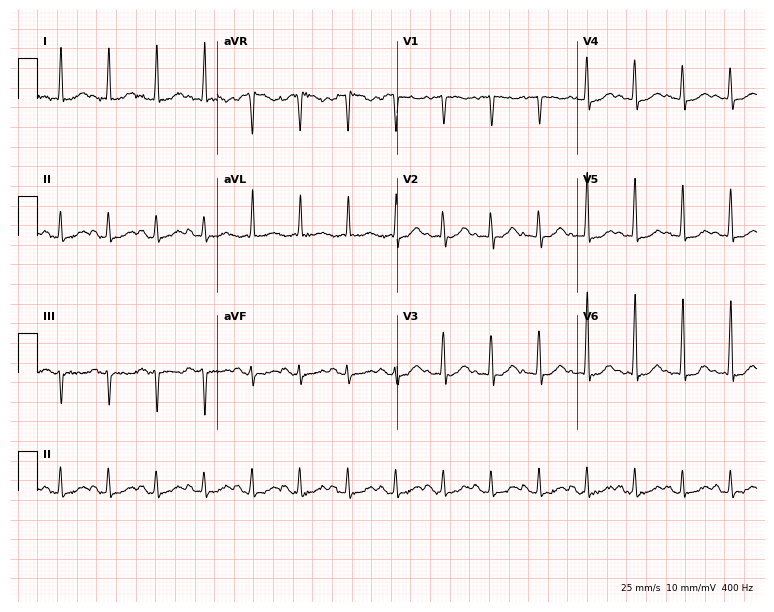
12-lead ECG from a 70-year-old female. Shows sinus tachycardia (a sinus rate of 100 beats per minute or more).